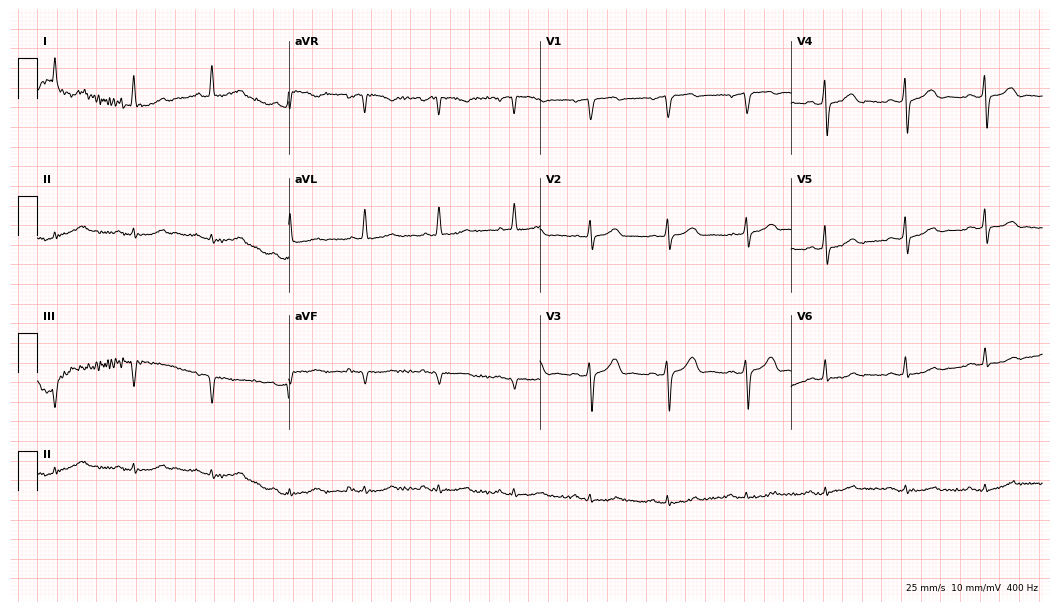
Resting 12-lead electrocardiogram. Patient: a 69-year-old man. None of these six findings is recorded: first-degree AV block, right bundle branch block (RBBB), left bundle branch block (LBBB), sinus bradycardia, atrial fibrillation (AF), sinus tachycardia.